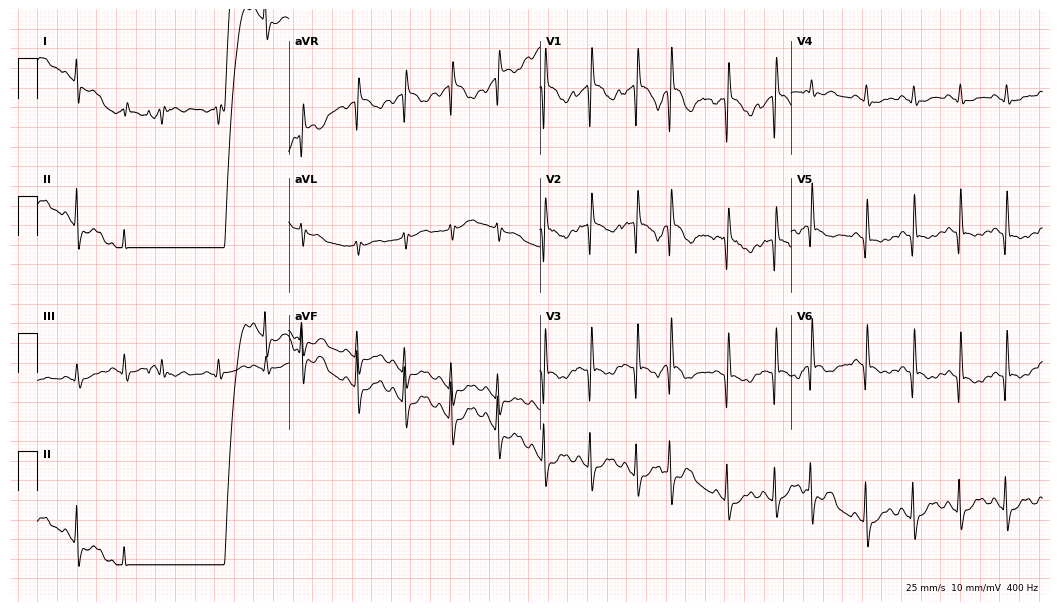
Resting 12-lead electrocardiogram (10.2-second recording at 400 Hz). Patient: a female, 65 years old. None of these six findings is recorded: first-degree AV block, right bundle branch block, left bundle branch block, sinus bradycardia, atrial fibrillation, sinus tachycardia. Findings outside these six are not listed.